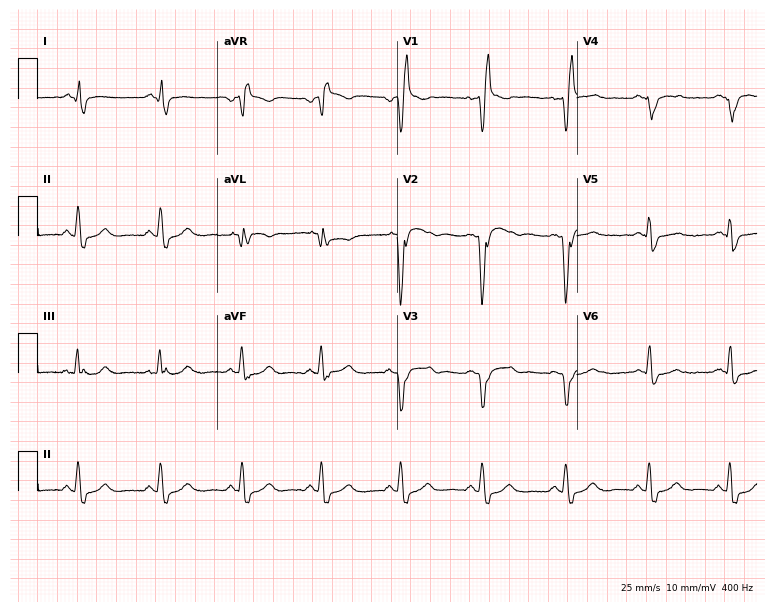
12-lead ECG from a male, 54 years old. Shows right bundle branch block.